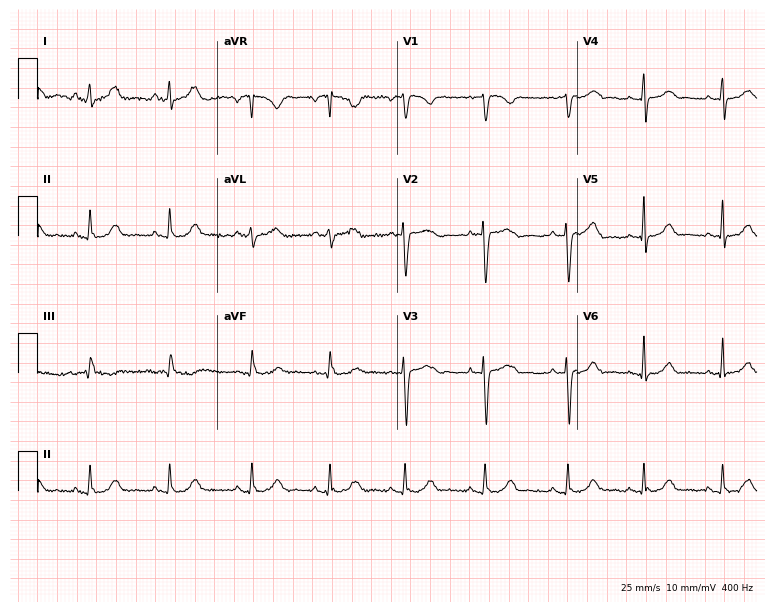
12-lead ECG (7.3-second recording at 400 Hz) from a 25-year-old female patient. Labelled as a normal ECG.